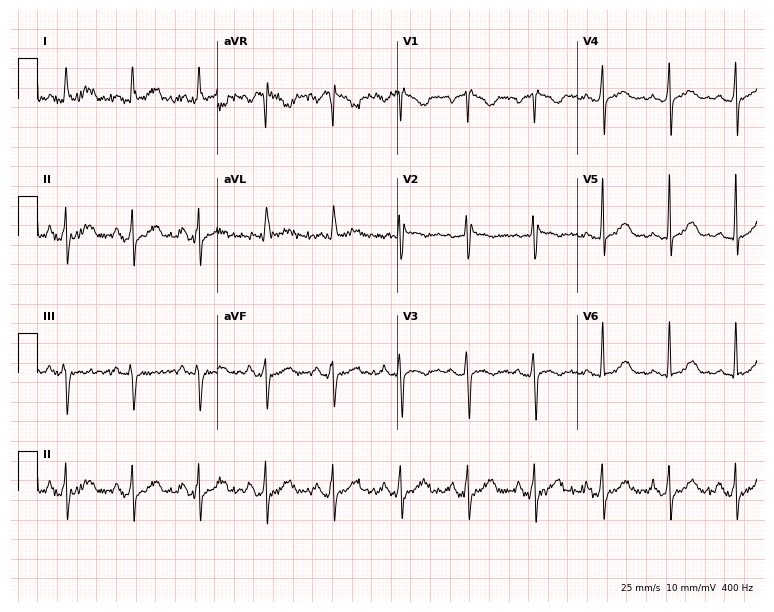
Resting 12-lead electrocardiogram (7.3-second recording at 400 Hz). Patient: a female, 58 years old. None of these six findings is recorded: first-degree AV block, right bundle branch block, left bundle branch block, sinus bradycardia, atrial fibrillation, sinus tachycardia. Findings outside these six are not listed.